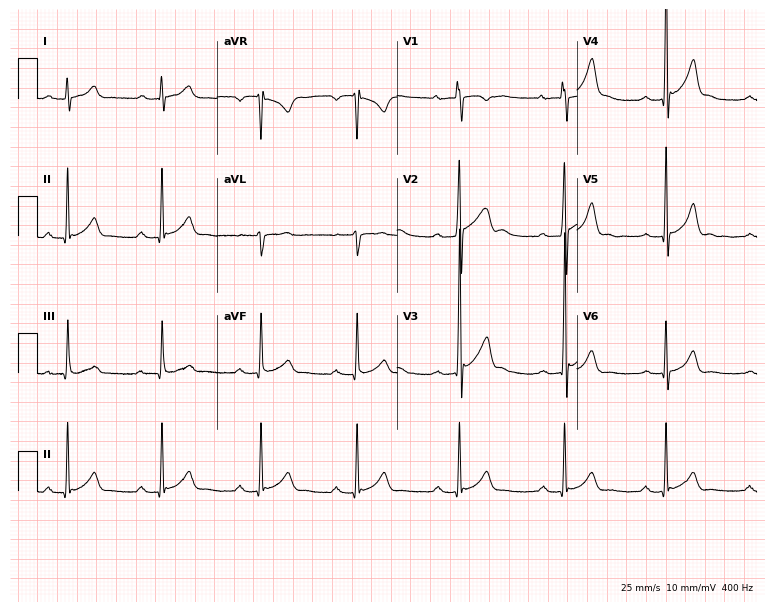
Resting 12-lead electrocardiogram (7.3-second recording at 400 Hz). Patient: a 26-year-old male. The tracing shows first-degree AV block.